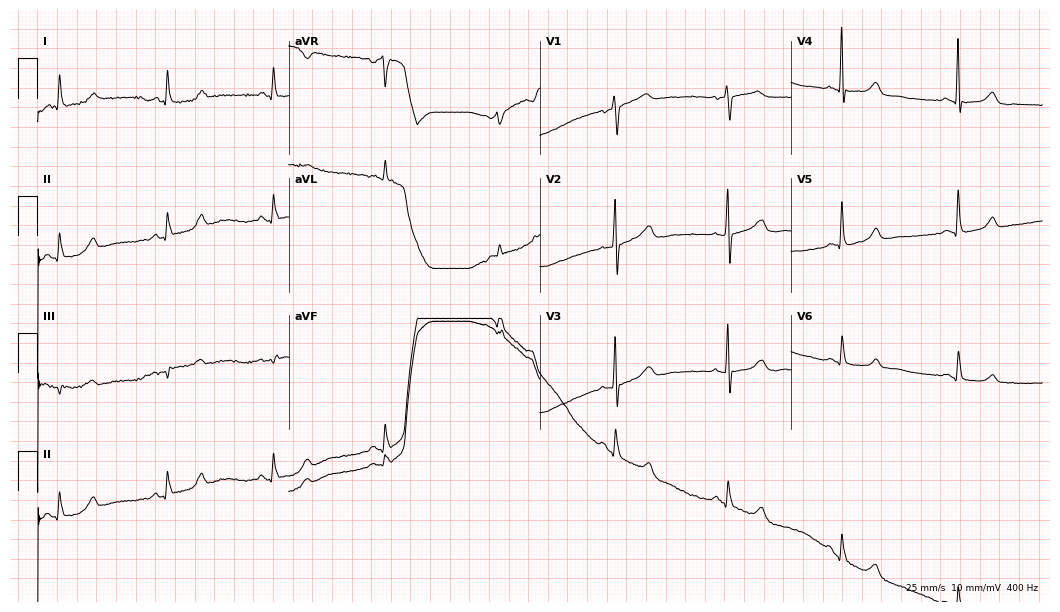
12-lead ECG (10.2-second recording at 400 Hz) from a 75-year-old female patient. Labelled as a normal ECG.